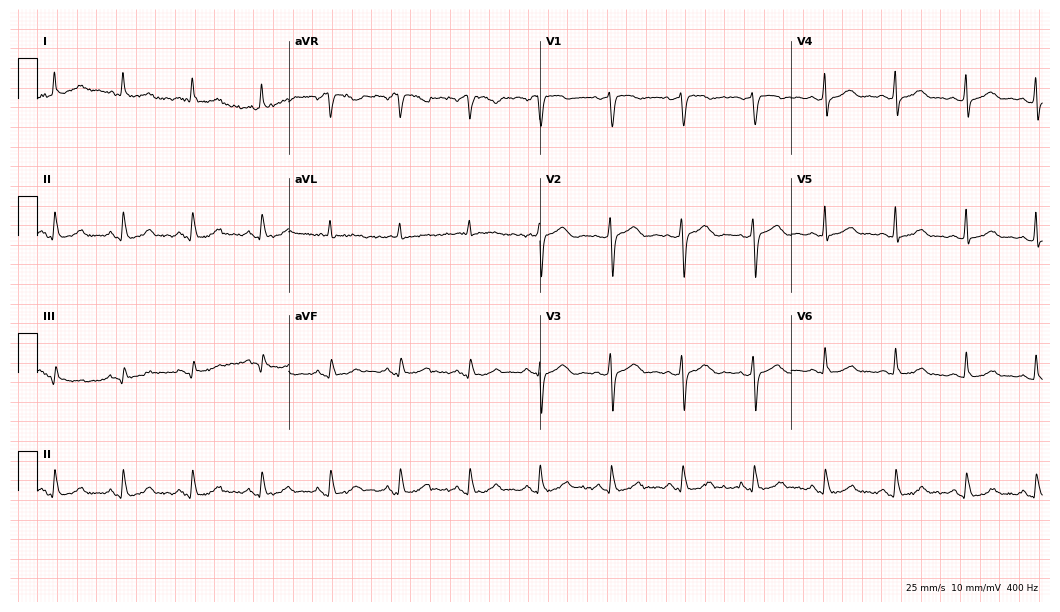
12-lead ECG (10.2-second recording at 400 Hz) from a woman, 70 years old. Labelled as a normal ECG.